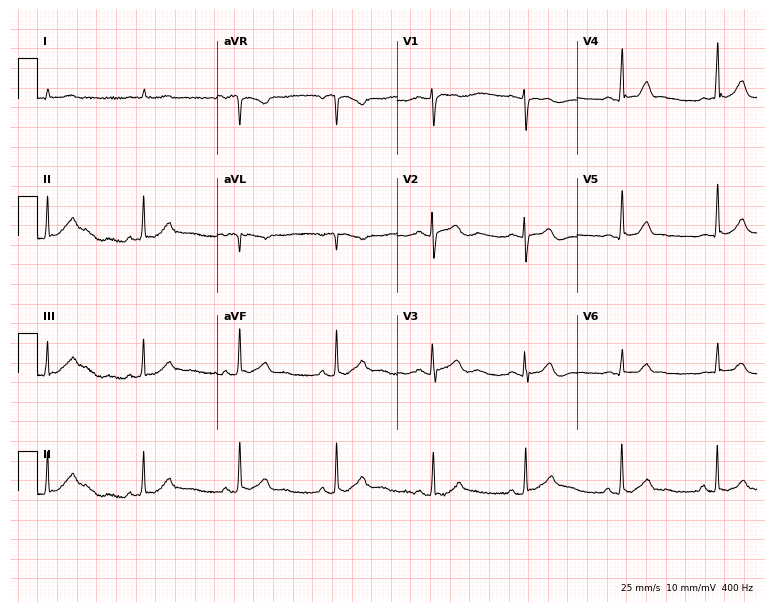
Standard 12-lead ECG recorded from a male, 75 years old. None of these six findings is recorded: first-degree AV block, right bundle branch block (RBBB), left bundle branch block (LBBB), sinus bradycardia, atrial fibrillation (AF), sinus tachycardia.